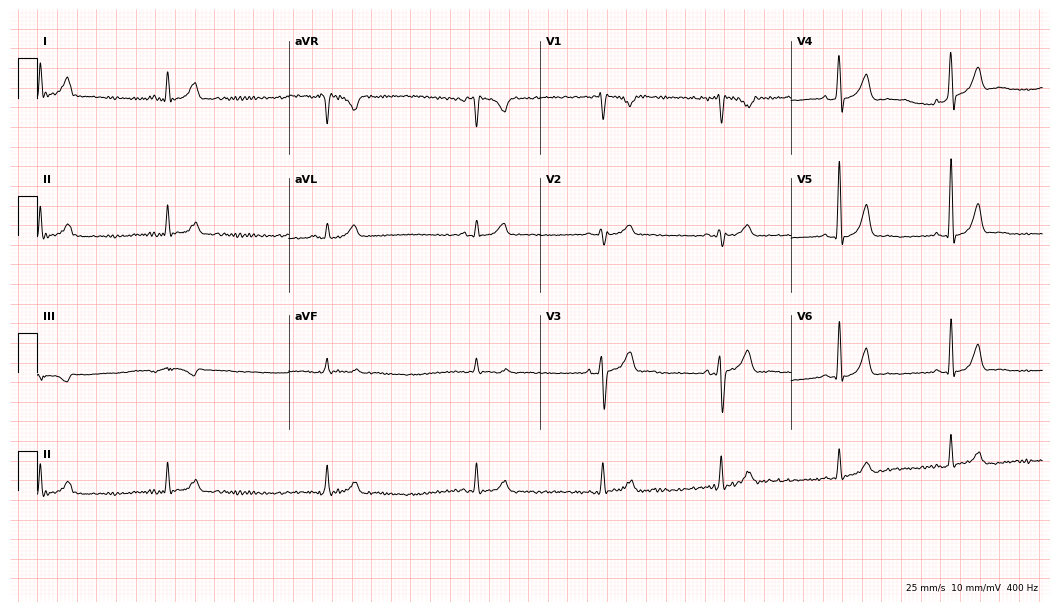
Standard 12-lead ECG recorded from a male patient, 47 years old. Read as a normal ECG.